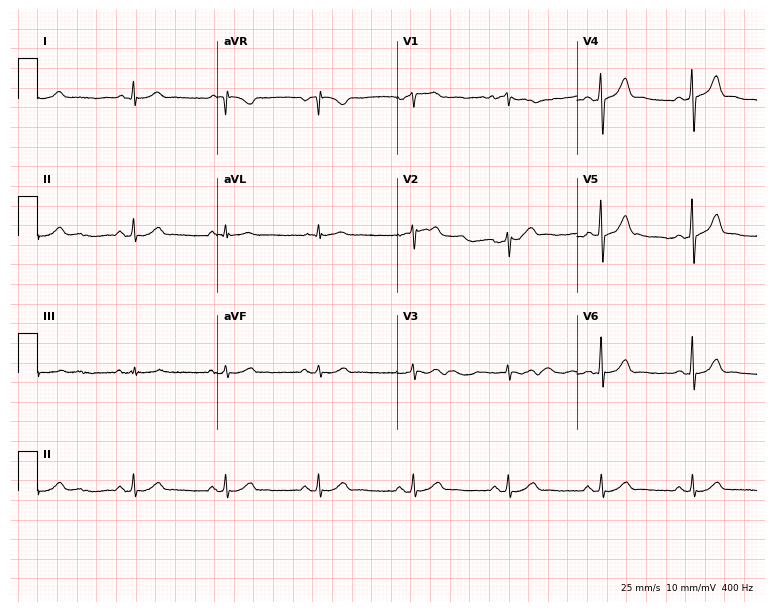
Standard 12-lead ECG recorded from a 43-year-old male. None of these six findings is recorded: first-degree AV block, right bundle branch block (RBBB), left bundle branch block (LBBB), sinus bradycardia, atrial fibrillation (AF), sinus tachycardia. Only these six findings were labelled.